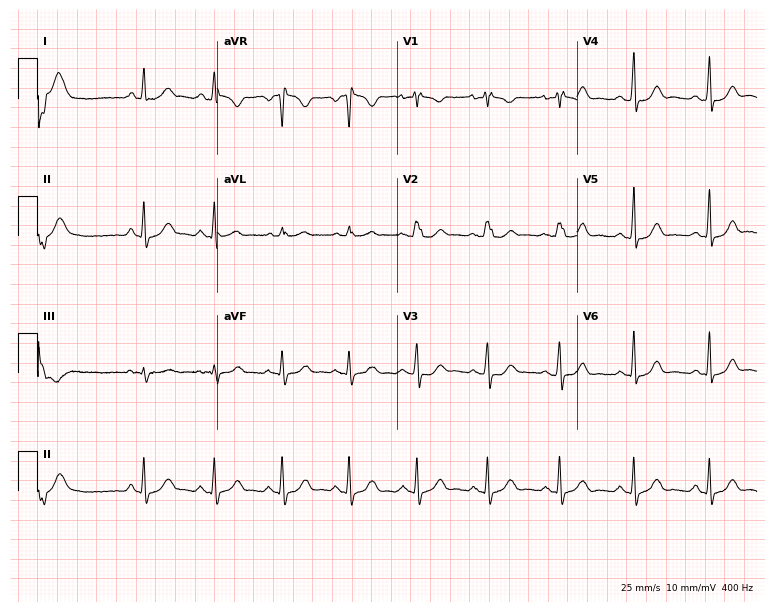
Electrocardiogram (7.3-second recording at 400 Hz), a female, 39 years old. Of the six screened findings (first-degree AV block, right bundle branch block (RBBB), left bundle branch block (LBBB), sinus bradycardia, atrial fibrillation (AF), sinus tachycardia), none is recorded. Findings outside these six are not listed.